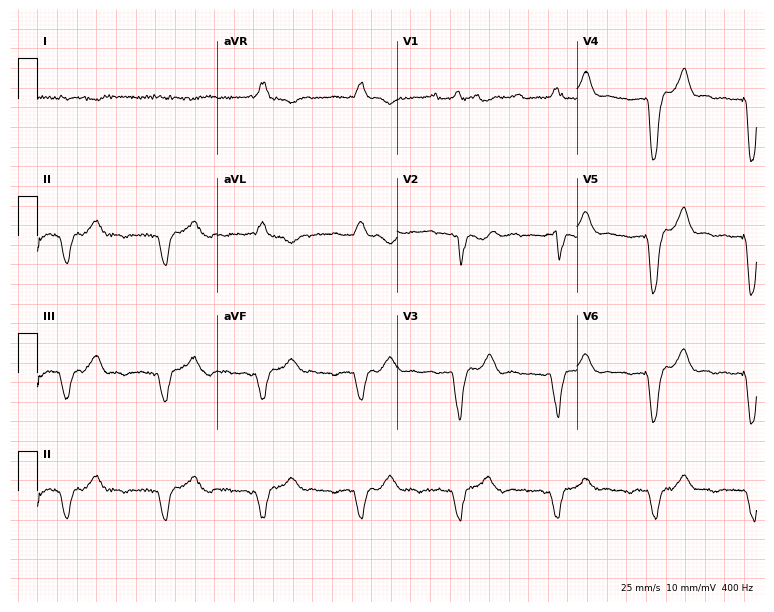
Standard 12-lead ECG recorded from a male patient, 68 years old. None of these six findings is recorded: first-degree AV block, right bundle branch block, left bundle branch block, sinus bradycardia, atrial fibrillation, sinus tachycardia. Findings outside these six are not listed.